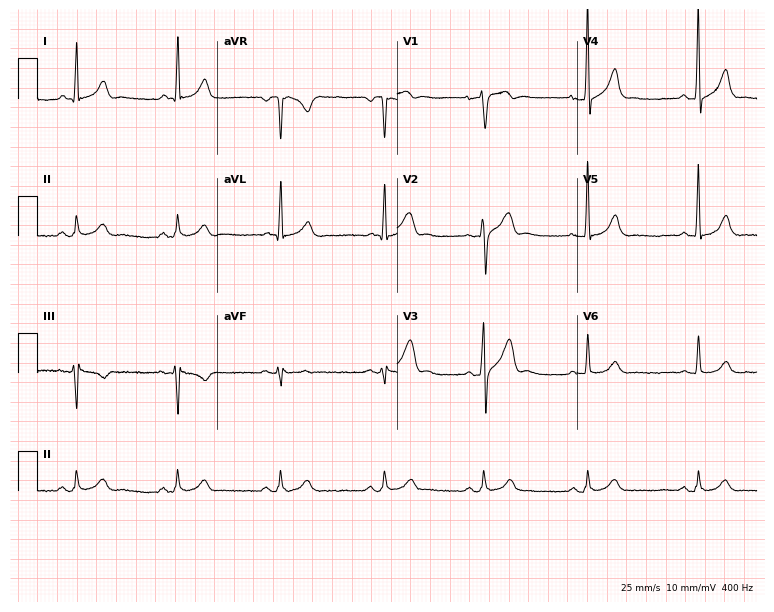
12-lead ECG (7.3-second recording at 400 Hz) from a male patient, 60 years old. Screened for six findings — first-degree AV block, right bundle branch block, left bundle branch block, sinus bradycardia, atrial fibrillation, sinus tachycardia — none is recorded.